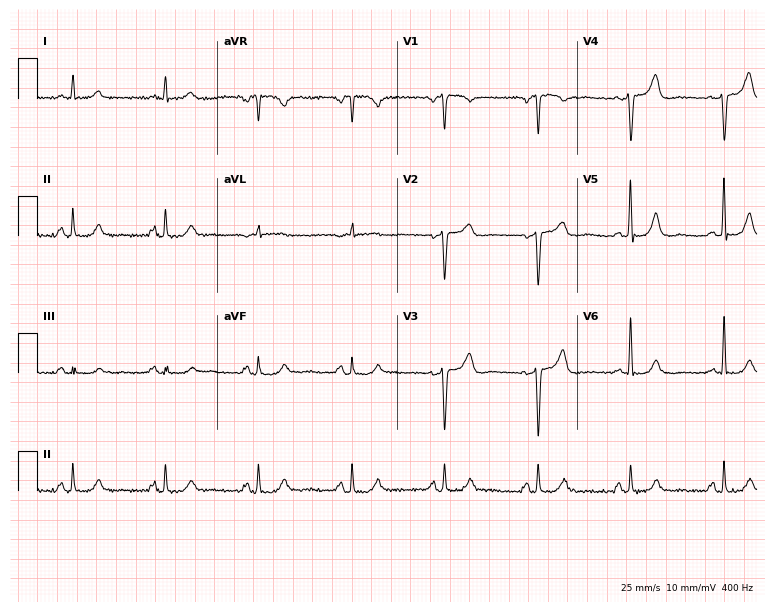
12-lead ECG (7.3-second recording at 400 Hz) from a man, 74 years old. Labelled as a normal ECG.